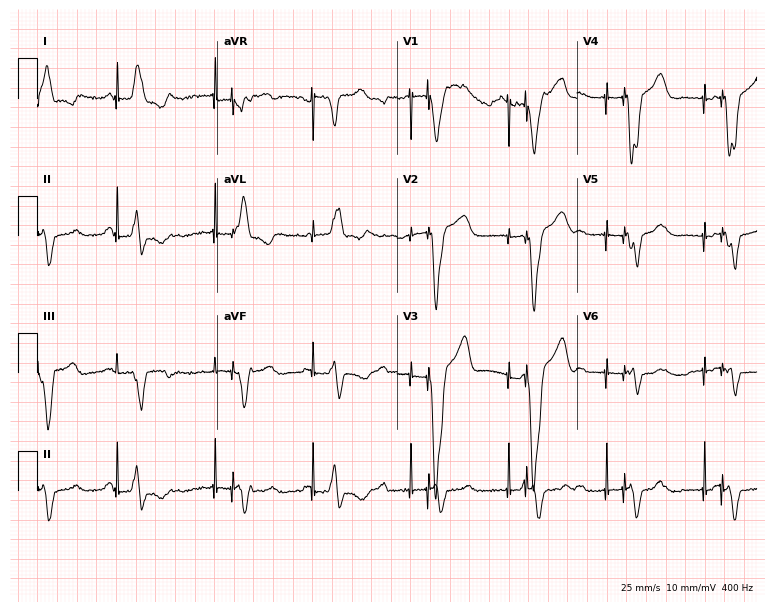
12-lead ECG from a 65-year-old male. Screened for six findings — first-degree AV block, right bundle branch block (RBBB), left bundle branch block (LBBB), sinus bradycardia, atrial fibrillation (AF), sinus tachycardia — none is recorded. Findings outside these six are not listed.